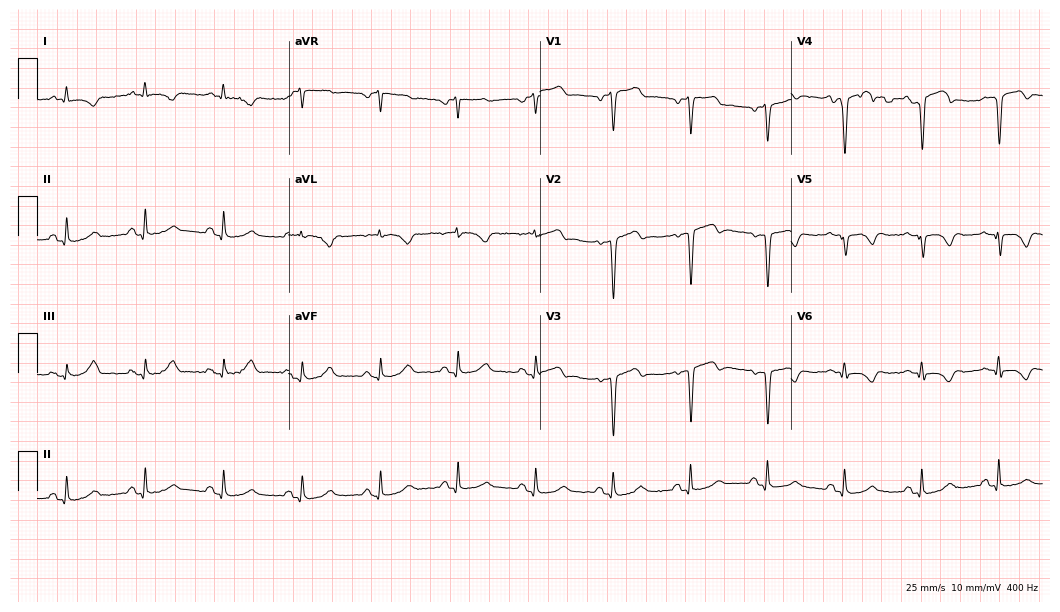
12-lead ECG from a male patient, 78 years old. No first-degree AV block, right bundle branch block, left bundle branch block, sinus bradycardia, atrial fibrillation or sinus tachycardia recorded for this tracing. Only these six findings were labelled.